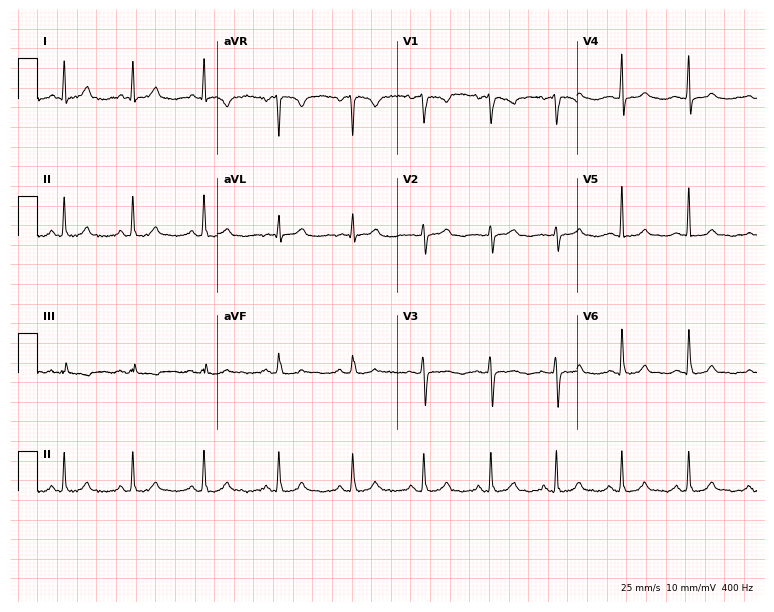
Electrocardiogram, a woman, 35 years old. Of the six screened findings (first-degree AV block, right bundle branch block, left bundle branch block, sinus bradycardia, atrial fibrillation, sinus tachycardia), none is recorded.